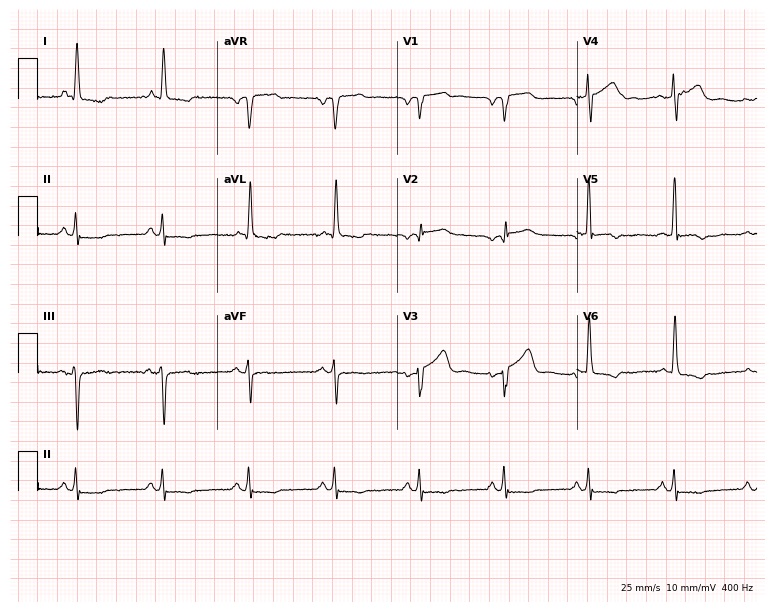
Electrocardiogram, a 68-year-old male. Of the six screened findings (first-degree AV block, right bundle branch block (RBBB), left bundle branch block (LBBB), sinus bradycardia, atrial fibrillation (AF), sinus tachycardia), none is recorded. Findings outside these six are not listed.